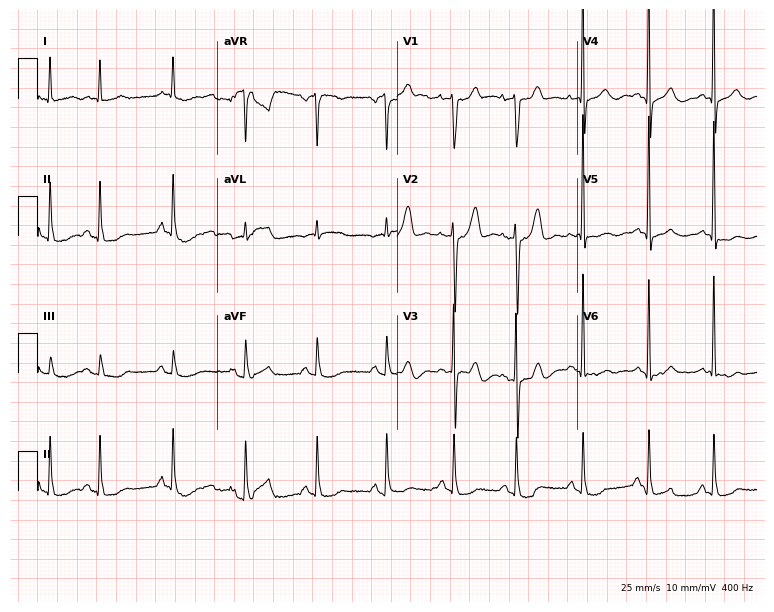
ECG — a male, 84 years old. Screened for six findings — first-degree AV block, right bundle branch block (RBBB), left bundle branch block (LBBB), sinus bradycardia, atrial fibrillation (AF), sinus tachycardia — none is recorded.